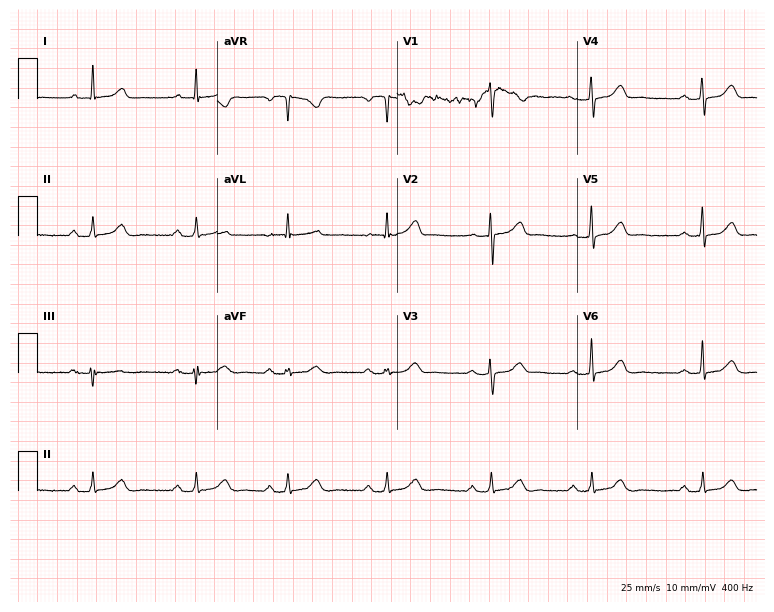
Electrocardiogram, a 51-year-old female patient. Overall reading on record: normal ECG.